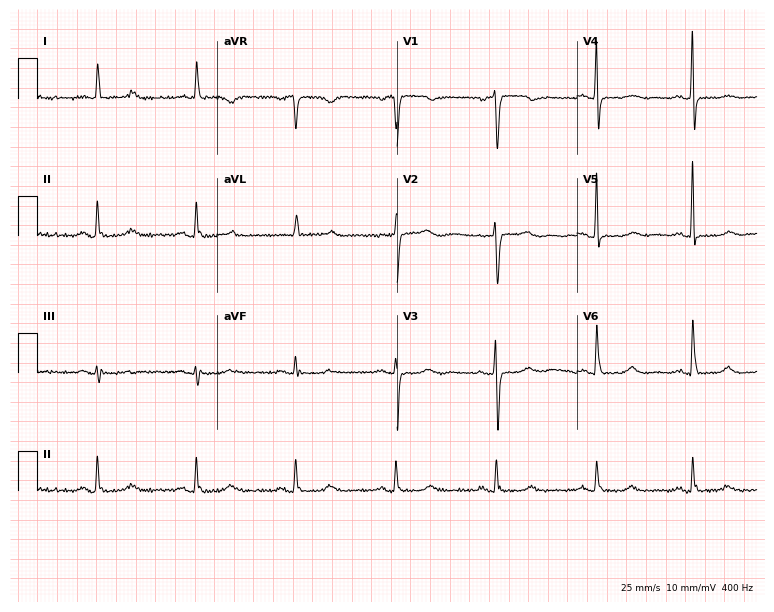
Resting 12-lead electrocardiogram. Patient: a 73-year-old female. Read as a normal ECG.